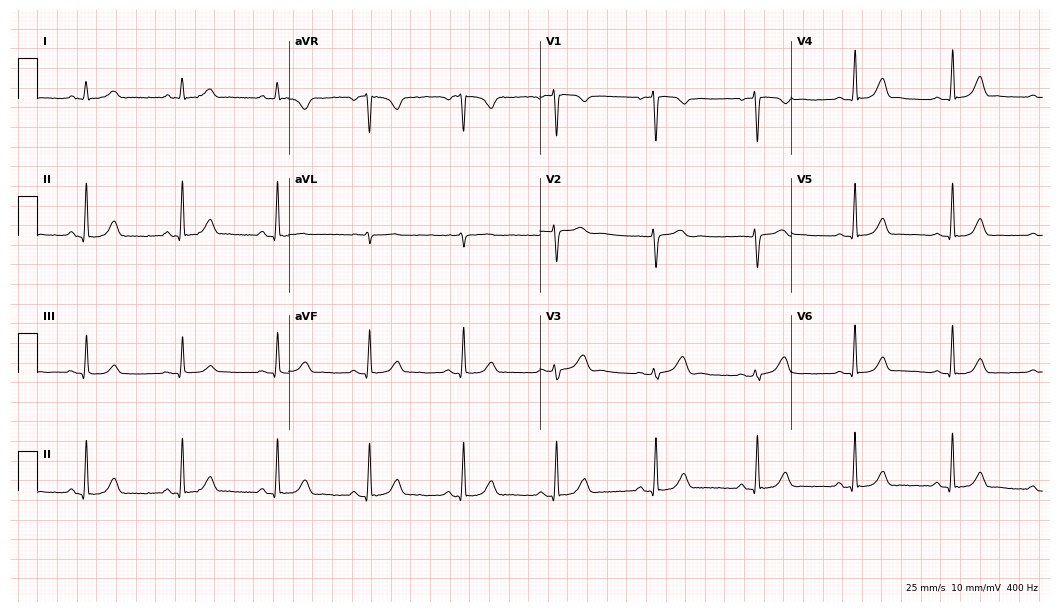
12-lead ECG from a 40-year-old female. No first-degree AV block, right bundle branch block (RBBB), left bundle branch block (LBBB), sinus bradycardia, atrial fibrillation (AF) or sinus tachycardia recorded for this tracing. Findings outside these six are not listed.